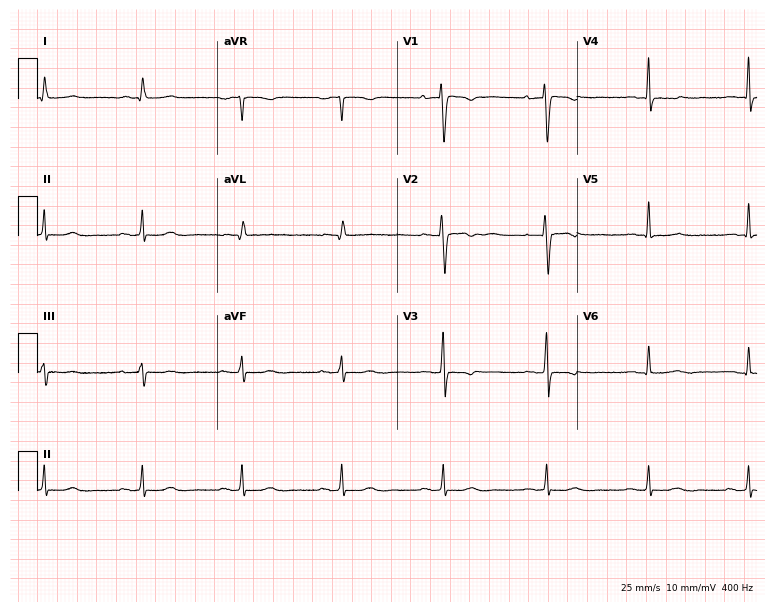
12-lead ECG from a 44-year-old woman (7.3-second recording at 400 Hz). No first-degree AV block, right bundle branch block, left bundle branch block, sinus bradycardia, atrial fibrillation or sinus tachycardia recorded for this tracing. Only these six findings were labelled.